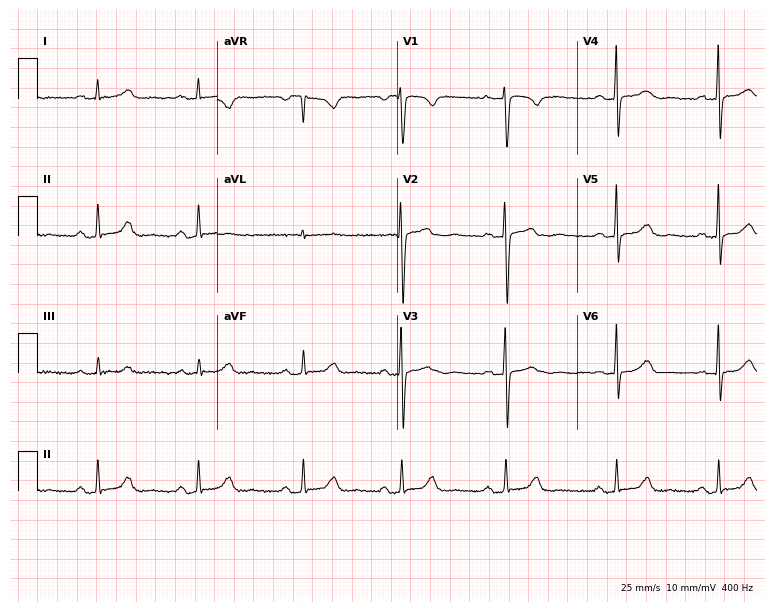
12-lead ECG (7.3-second recording at 400 Hz) from a female, 34 years old. Screened for six findings — first-degree AV block, right bundle branch block, left bundle branch block, sinus bradycardia, atrial fibrillation, sinus tachycardia — none is recorded. Only these six findings were labelled.